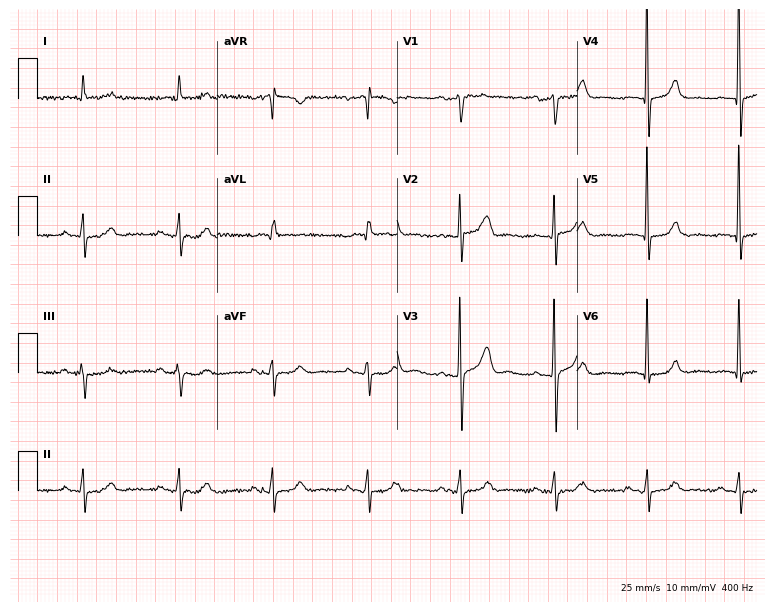
12-lead ECG from an 84-year-old male patient. Screened for six findings — first-degree AV block, right bundle branch block, left bundle branch block, sinus bradycardia, atrial fibrillation, sinus tachycardia — none is recorded. Only these six findings were labelled.